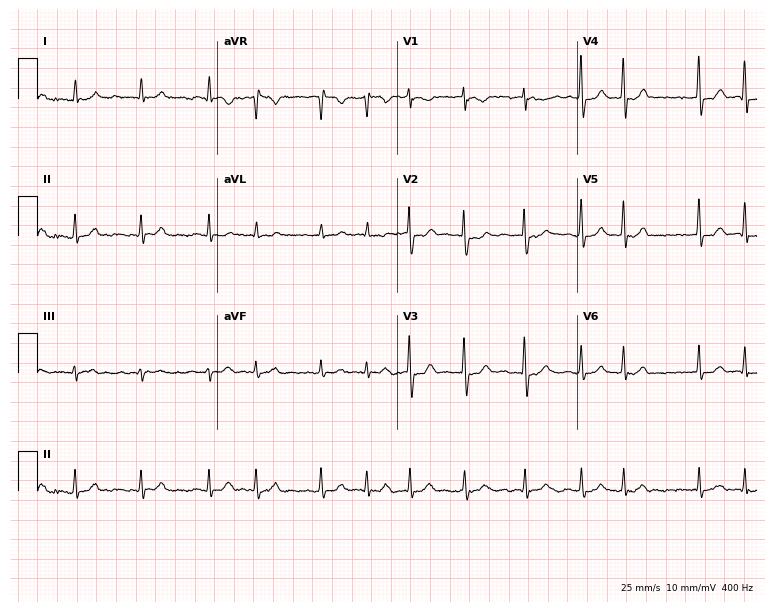
Resting 12-lead electrocardiogram (7.3-second recording at 400 Hz). Patient: a 66-year-old woman. The tracing shows atrial fibrillation (AF).